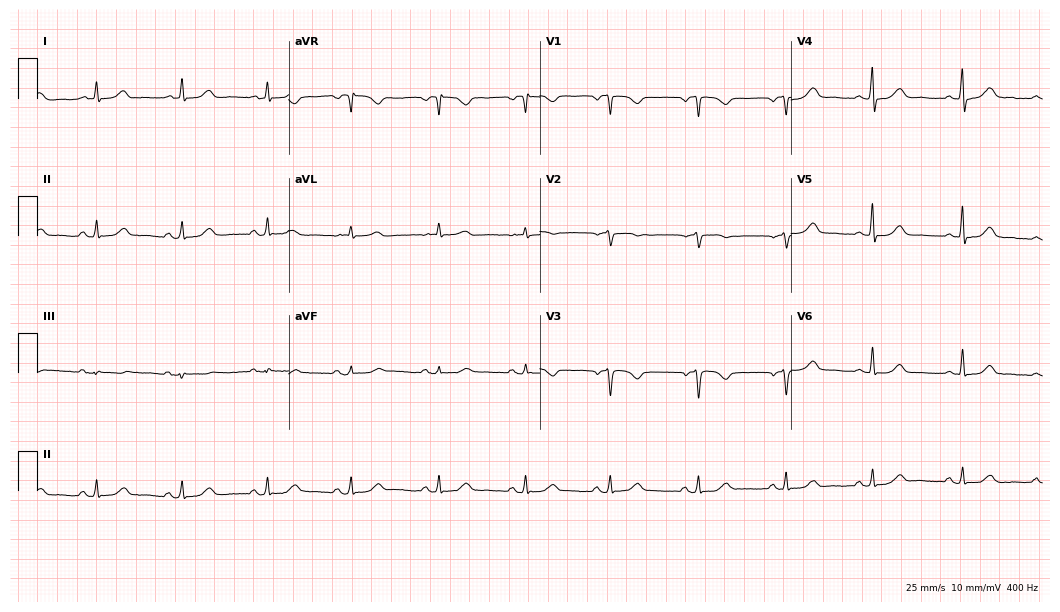
Electrocardiogram (10.2-second recording at 400 Hz), a 40-year-old woman. Overall reading on record: normal ECG.